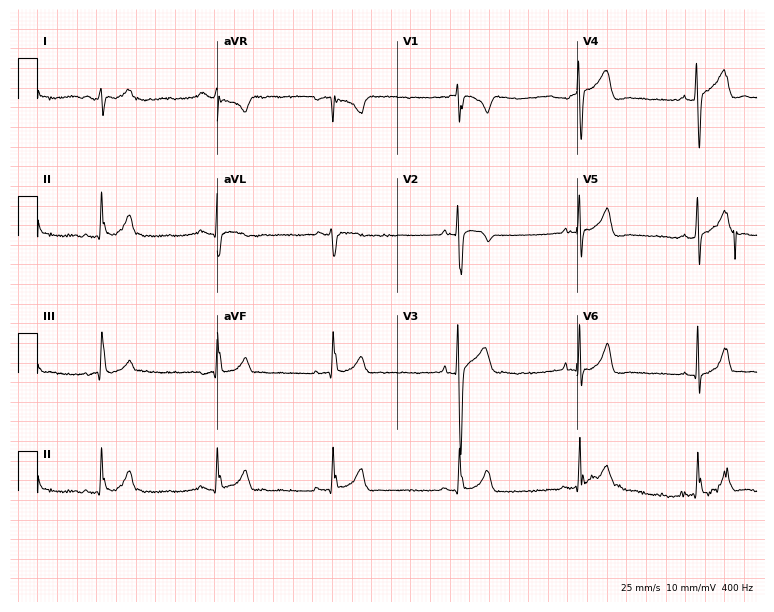
Resting 12-lead electrocardiogram. Patient: a 22-year-old male. Read as a normal ECG.